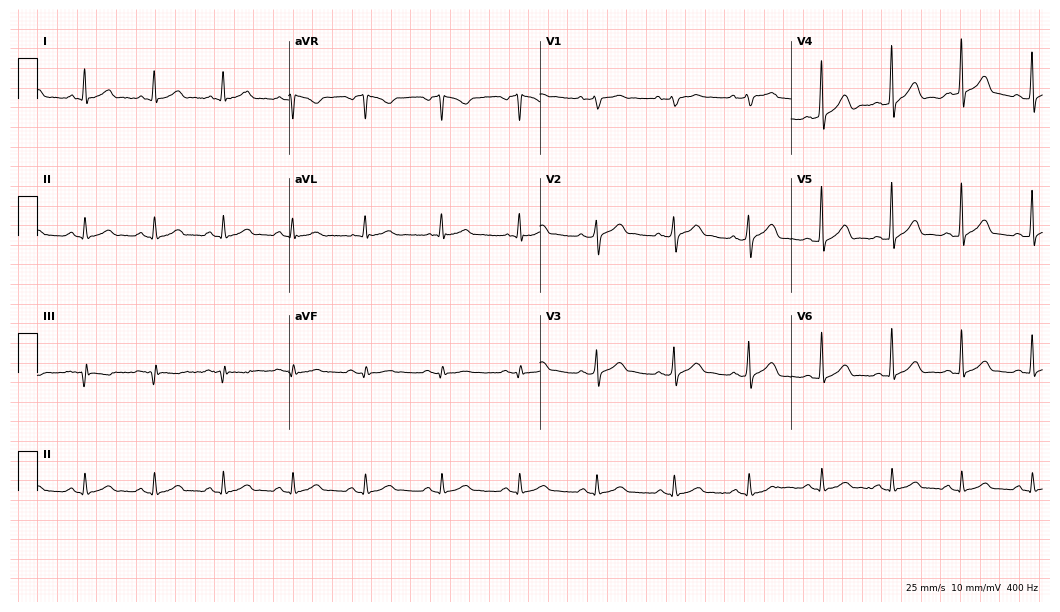
Standard 12-lead ECG recorded from a 44-year-old male. Read as a normal ECG.